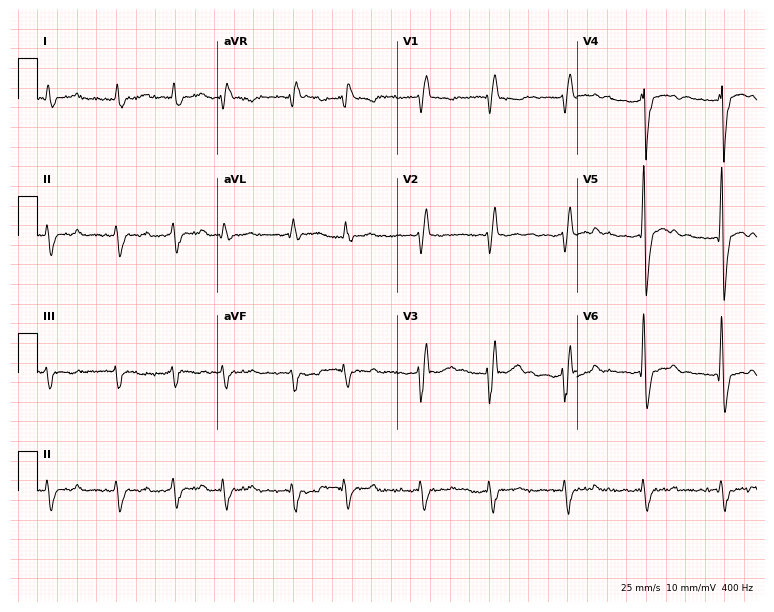
Resting 12-lead electrocardiogram (7.3-second recording at 400 Hz). Patient: a 79-year-old male. The tracing shows right bundle branch block, atrial fibrillation.